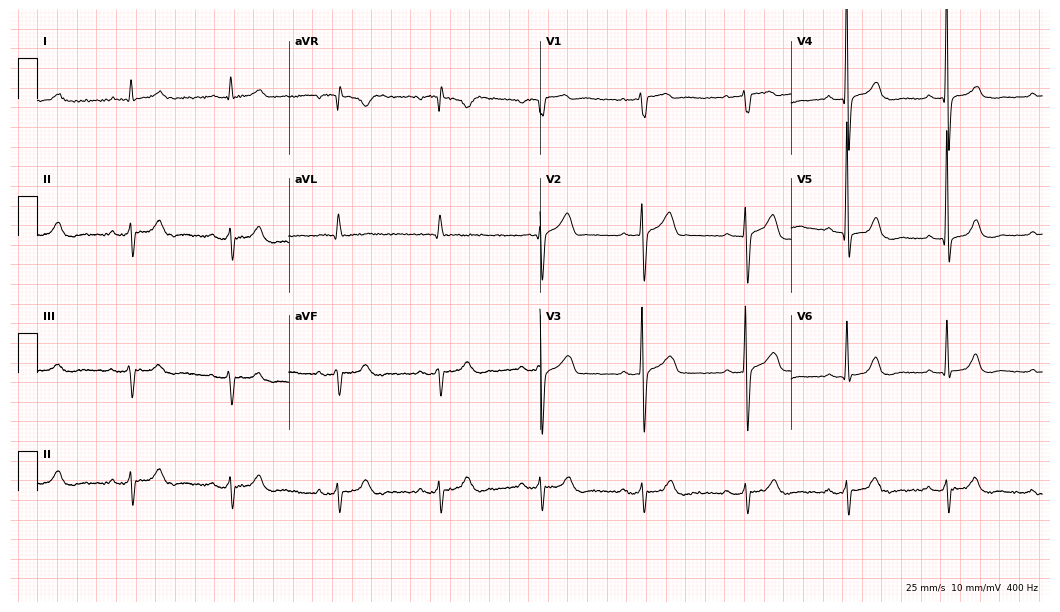
12-lead ECG from a man, 71 years old. No first-degree AV block, right bundle branch block, left bundle branch block, sinus bradycardia, atrial fibrillation or sinus tachycardia recorded for this tracing.